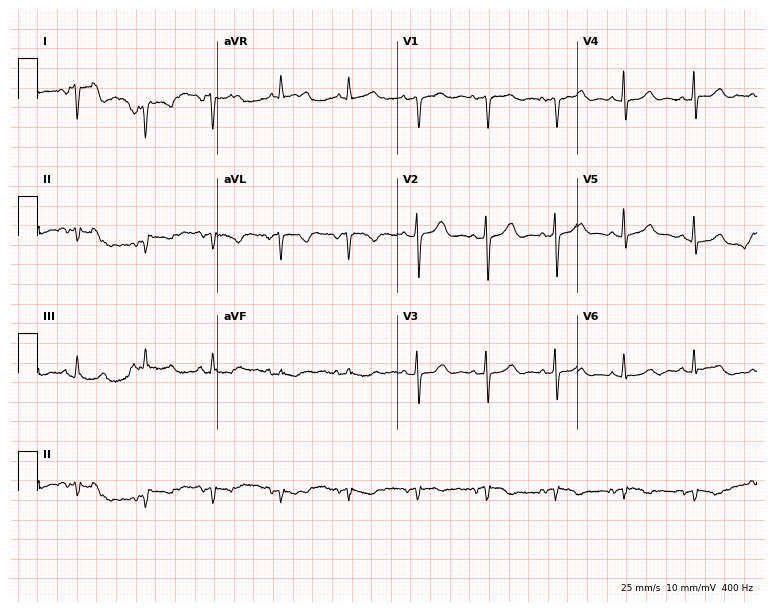
Electrocardiogram, a woman, 73 years old. Of the six screened findings (first-degree AV block, right bundle branch block, left bundle branch block, sinus bradycardia, atrial fibrillation, sinus tachycardia), none is recorded. Only these six findings were labelled.